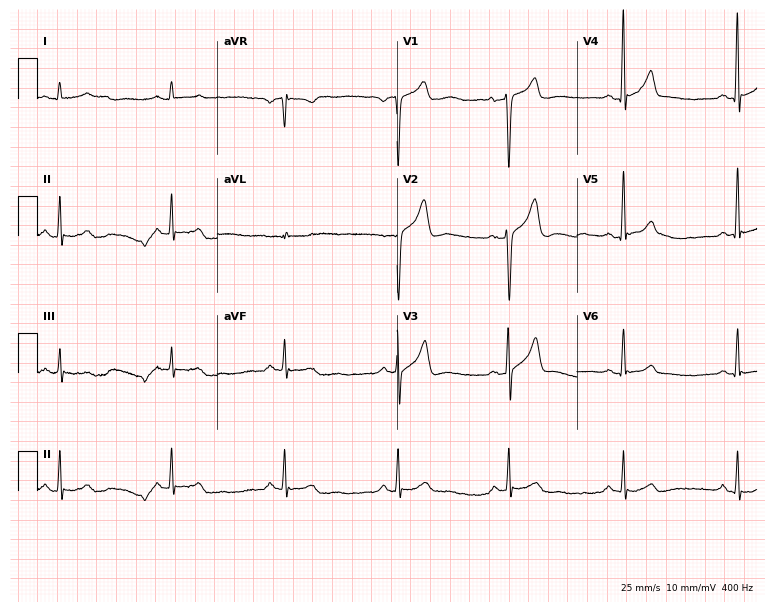
12-lead ECG from a male, 49 years old. Screened for six findings — first-degree AV block, right bundle branch block (RBBB), left bundle branch block (LBBB), sinus bradycardia, atrial fibrillation (AF), sinus tachycardia — none is recorded.